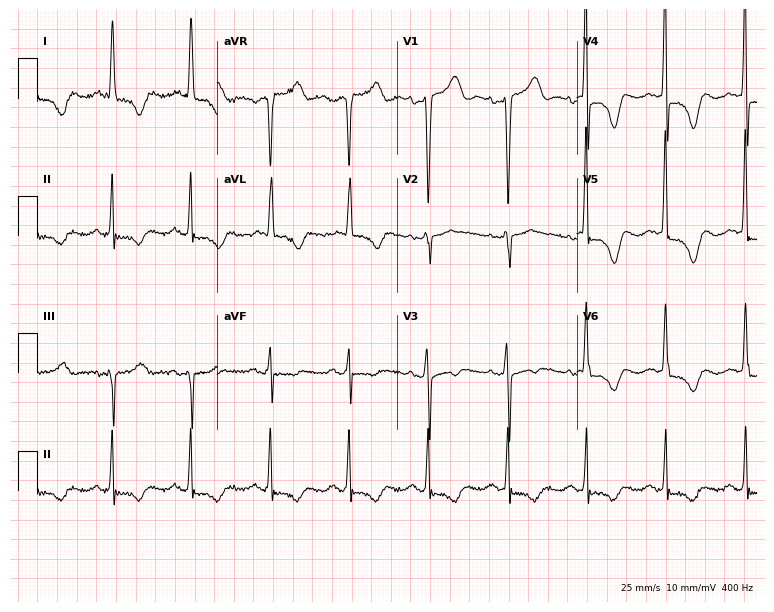
ECG (7.3-second recording at 400 Hz) — a 69-year-old woman. Screened for six findings — first-degree AV block, right bundle branch block (RBBB), left bundle branch block (LBBB), sinus bradycardia, atrial fibrillation (AF), sinus tachycardia — none is recorded. Other findings, if any, are not listed.